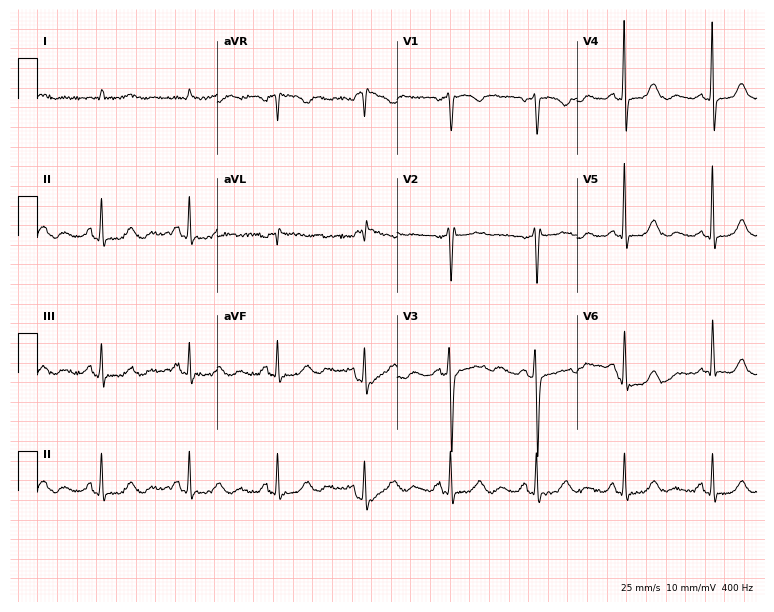
12-lead ECG from a man, 74 years old. Labelled as a normal ECG.